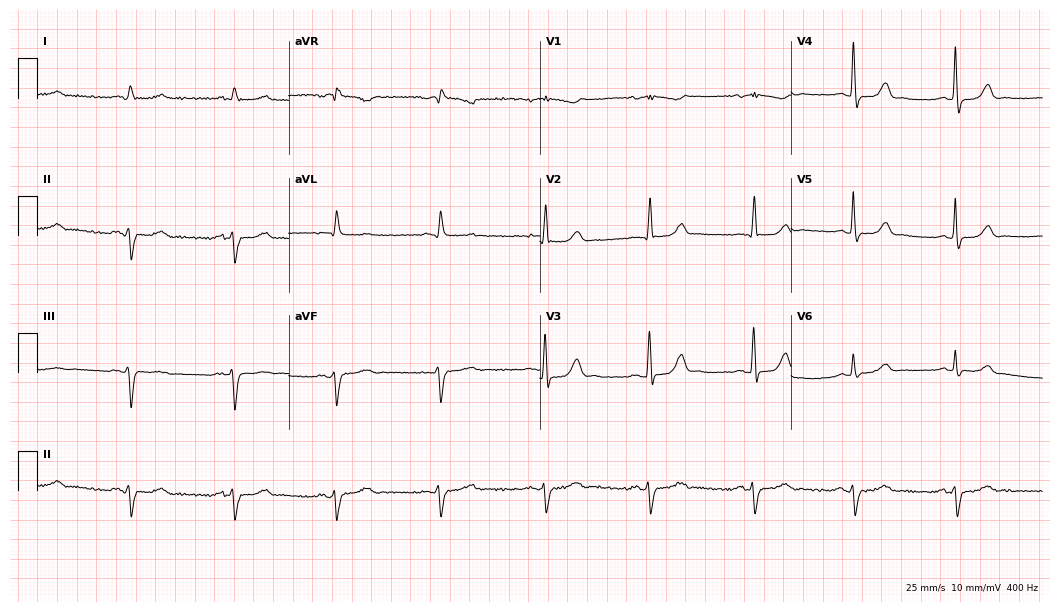
Electrocardiogram, a male, 85 years old. Of the six screened findings (first-degree AV block, right bundle branch block, left bundle branch block, sinus bradycardia, atrial fibrillation, sinus tachycardia), none is recorded. Only these six findings were labelled.